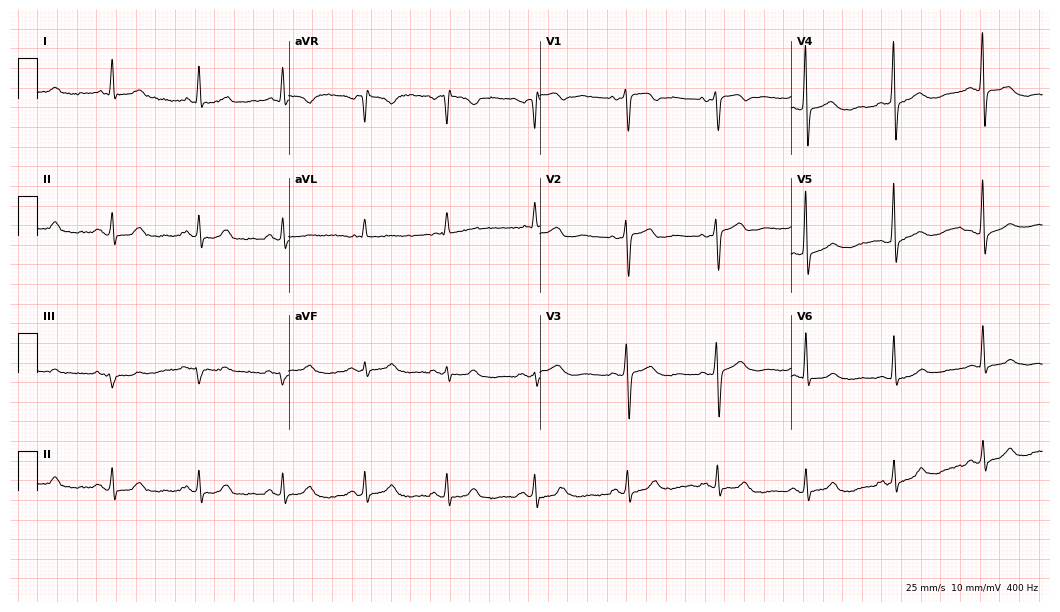
12-lead ECG from a female patient, 58 years old. Labelled as a normal ECG.